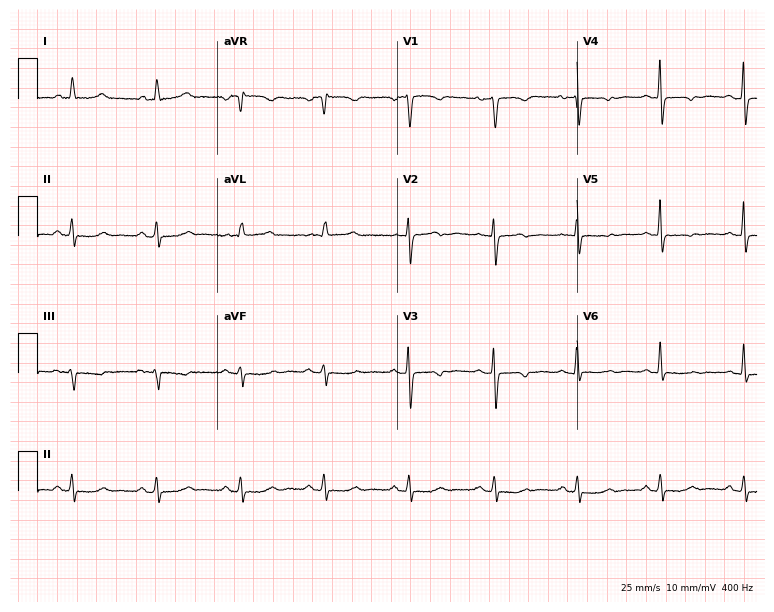
ECG — a female, 48 years old. Screened for six findings — first-degree AV block, right bundle branch block, left bundle branch block, sinus bradycardia, atrial fibrillation, sinus tachycardia — none is recorded.